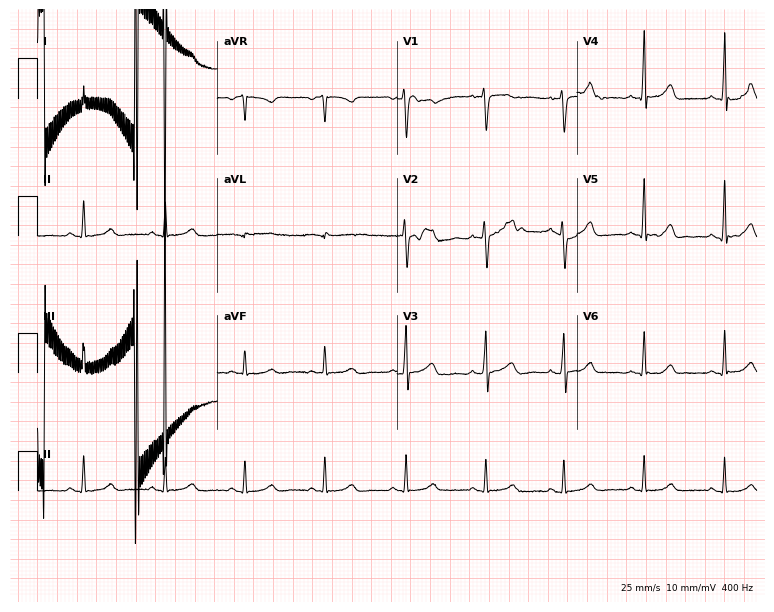
Standard 12-lead ECG recorded from a 39-year-old woman. Read as a normal ECG.